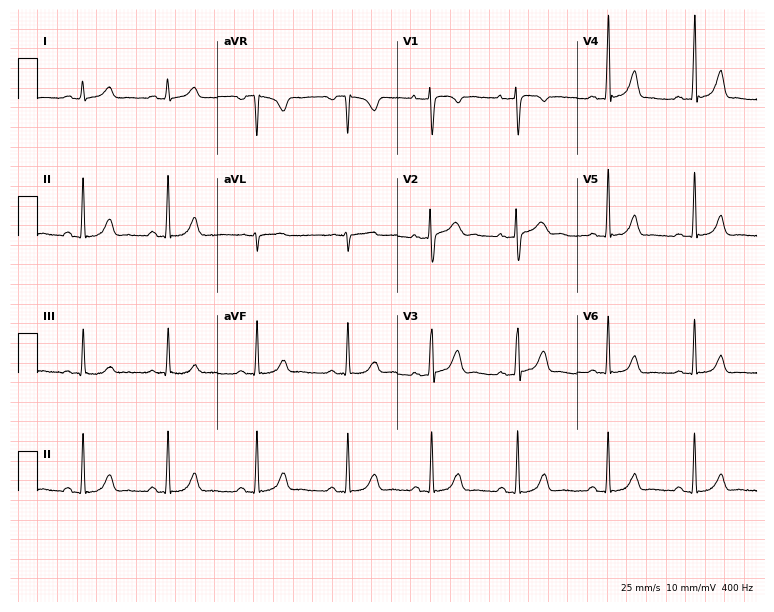
Standard 12-lead ECG recorded from a woman, 28 years old (7.3-second recording at 400 Hz). Read as a normal ECG.